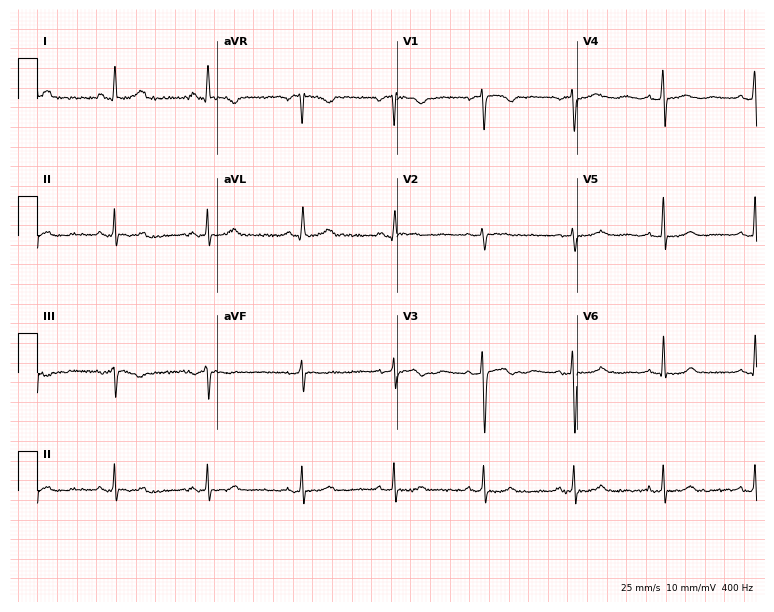
12-lead ECG (7.3-second recording at 400 Hz) from a female, 32 years old. Screened for six findings — first-degree AV block, right bundle branch block, left bundle branch block, sinus bradycardia, atrial fibrillation, sinus tachycardia — none is recorded.